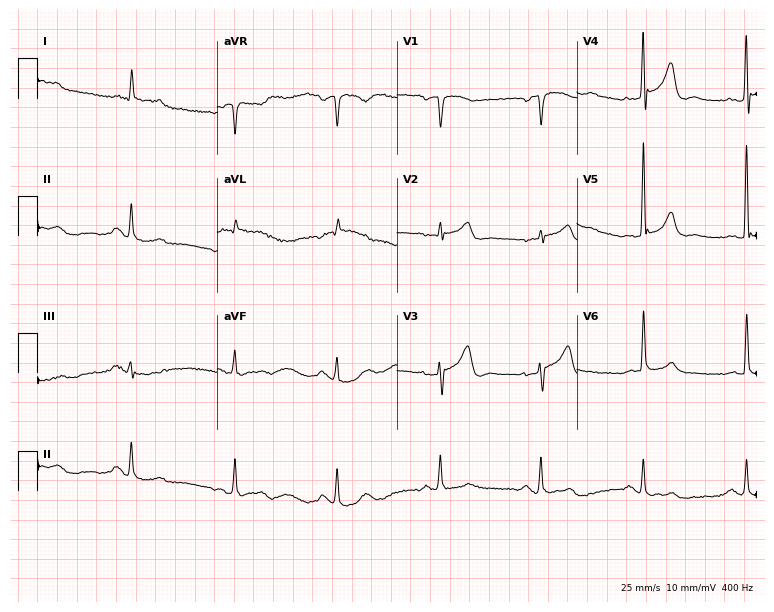
ECG — a man, 77 years old. Screened for six findings — first-degree AV block, right bundle branch block (RBBB), left bundle branch block (LBBB), sinus bradycardia, atrial fibrillation (AF), sinus tachycardia — none is recorded. Findings outside these six are not listed.